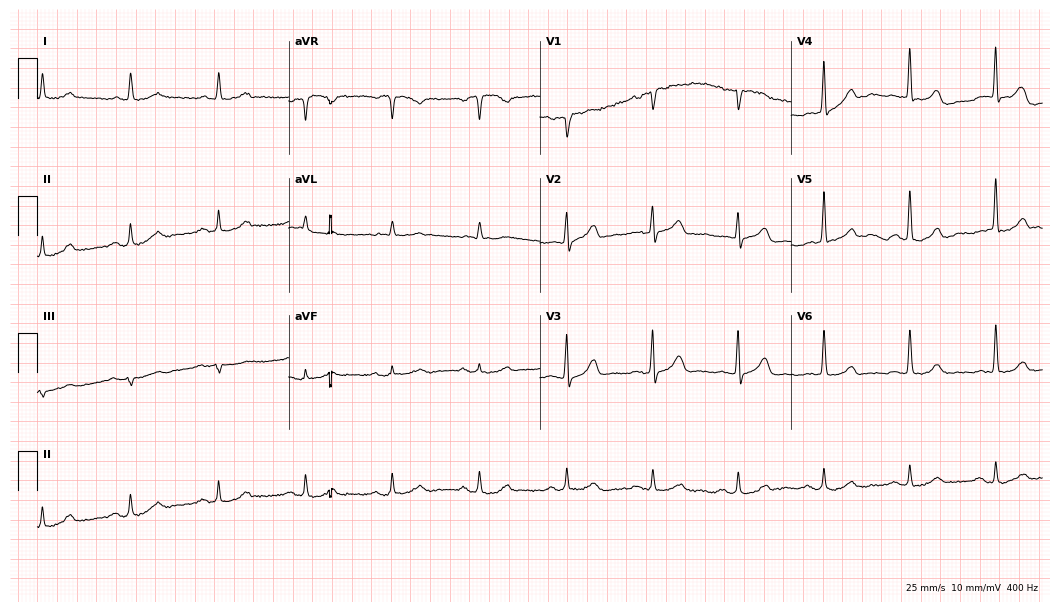
ECG (10.2-second recording at 400 Hz) — a man, 82 years old. Screened for six findings — first-degree AV block, right bundle branch block, left bundle branch block, sinus bradycardia, atrial fibrillation, sinus tachycardia — none is recorded. Only these six findings were labelled.